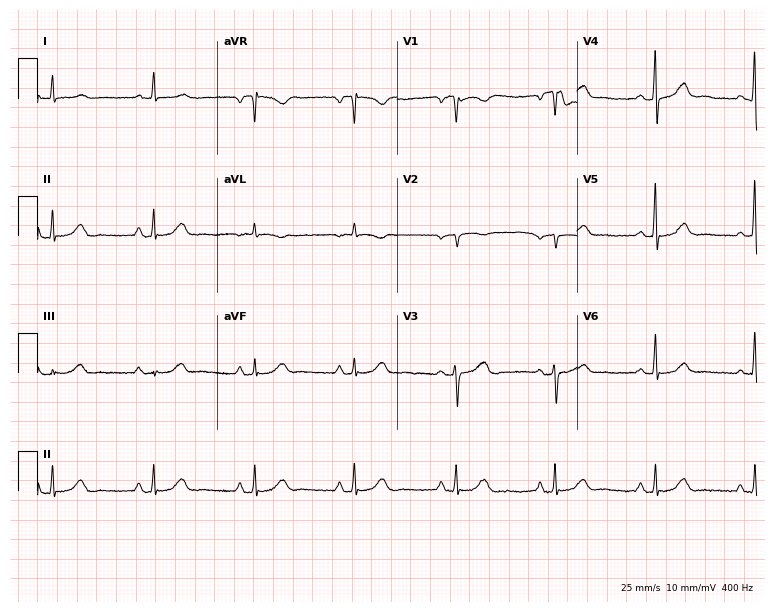
Standard 12-lead ECG recorded from a 56-year-old woman (7.3-second recording at 400 Hz). None of these six findings is recorded: first-degree AV block, right bundle branch block, left bundle branch block, sinus bradycardia, atrial fibrillation, sinus tachycardia.